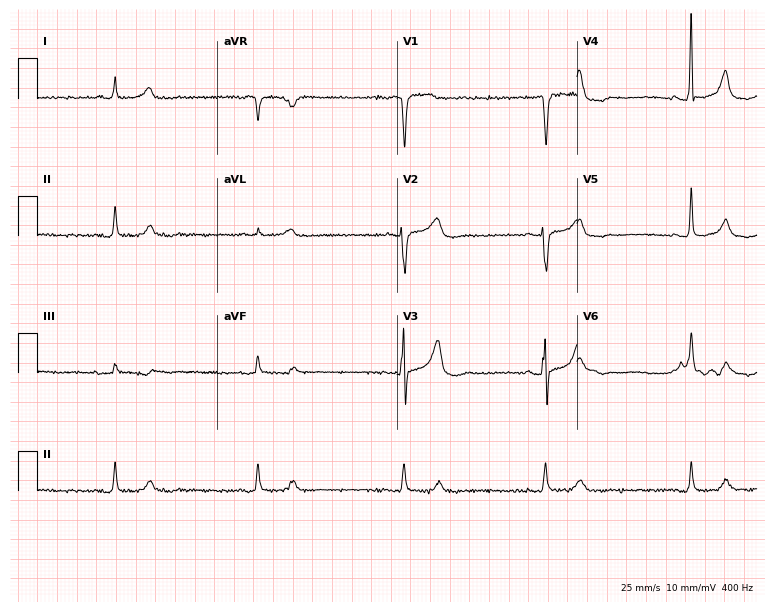
Electrocardiogram, a man, 83 years old. Of the six screened findings (first-degree AV block, right bundle branch block, left bundle branch block, sinus bradycardia, atrial fibrillation, sinus tachycardia), none is recorded. Findings outside these six are not listed.